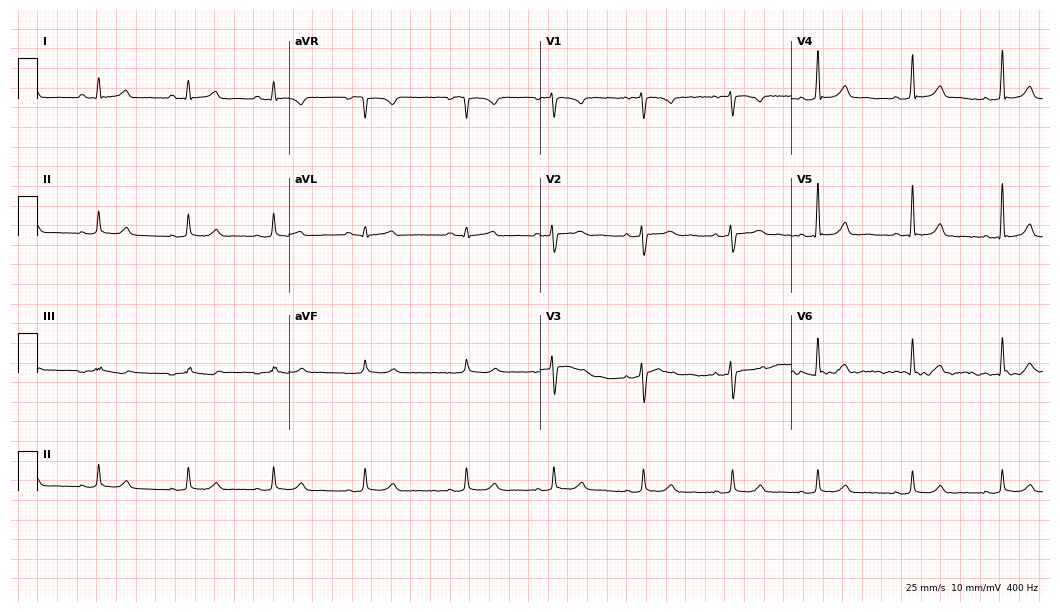
Resting 12-lead electrocardiogram (10.2-second recording at 400 Hz). Patient: a 31-year-old woman. Read as a normal ECG.